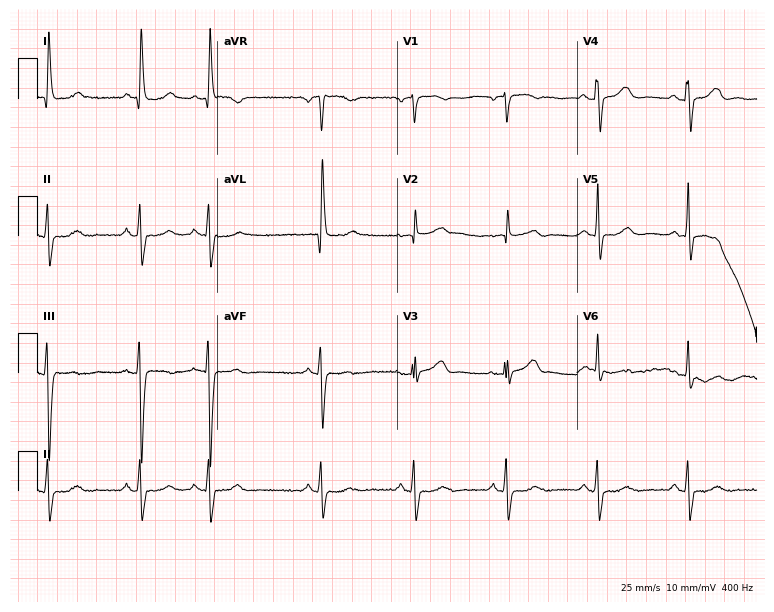
Standard 12-lead ECG recorded from a female, 79 years old. Read as a normal ECG.